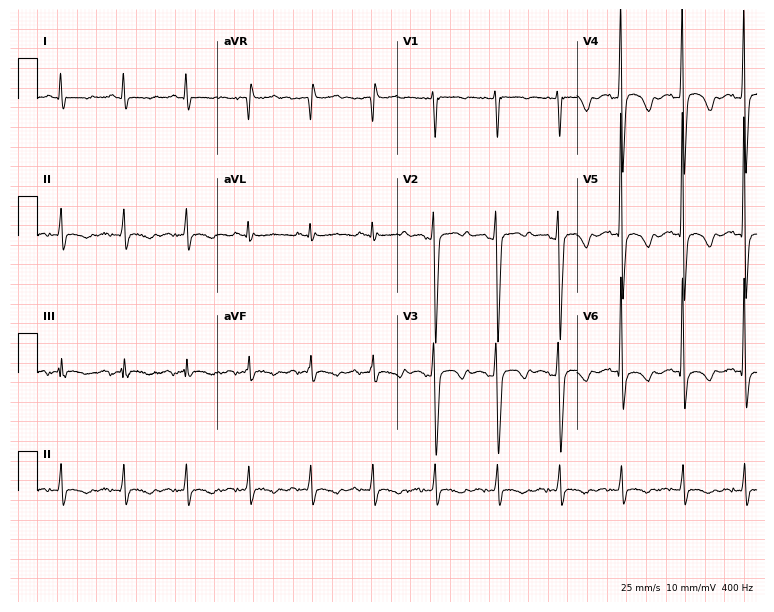
ECG (7.3-second recording at 400 Hz) — a man, 51 years old. Screened for six findings — first-degree AV block, right bundle branch block, left bundle branch block, sinus bradycardia, atrial fibrillation, sinus tachycardia — none is recorded. Findings outside these six are not listed.